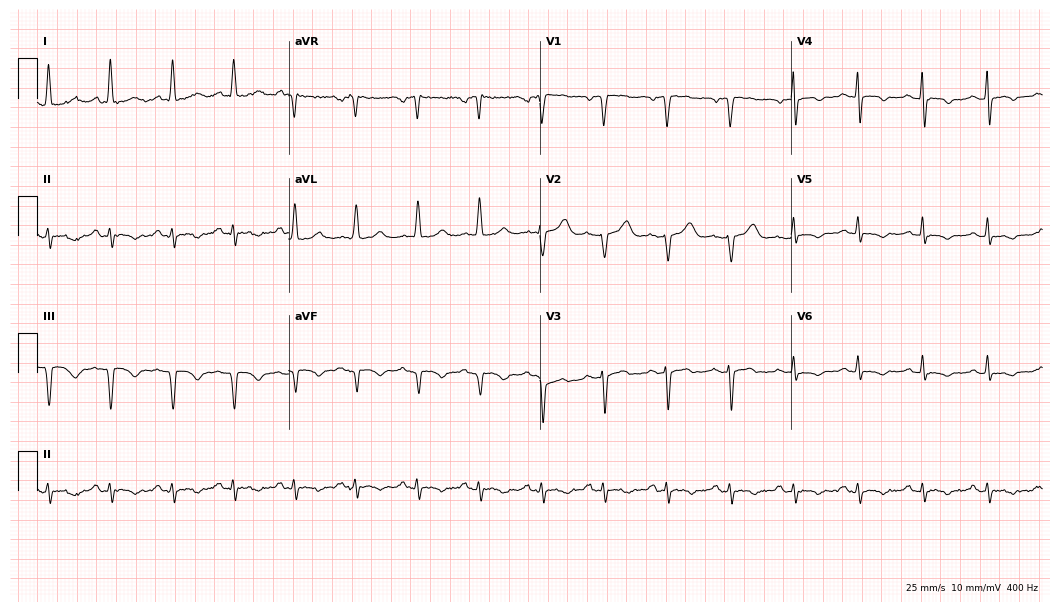
12-lead ECG from a 69-year-old man. No first-degree AV block, right bundle branch block, left bundle branch block, sinus bradycardia, atrial fibrillation or sinus tachycardia recorded for this tracing.